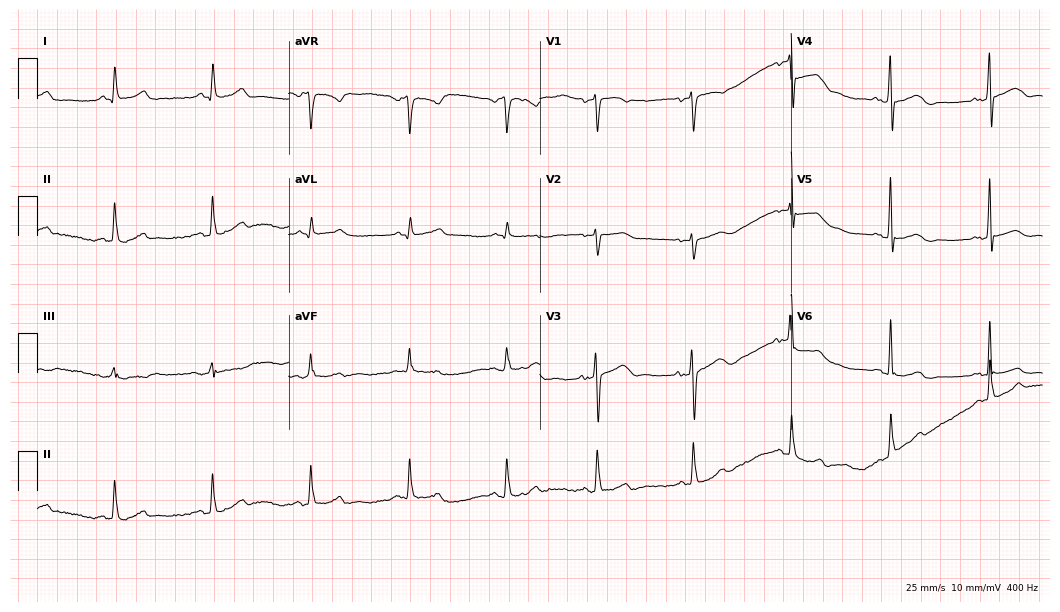
12-lead ECG from a female patient, 60 years old (10.2-second recording at 400 Hz). Recorded interpretation: within normal limits.